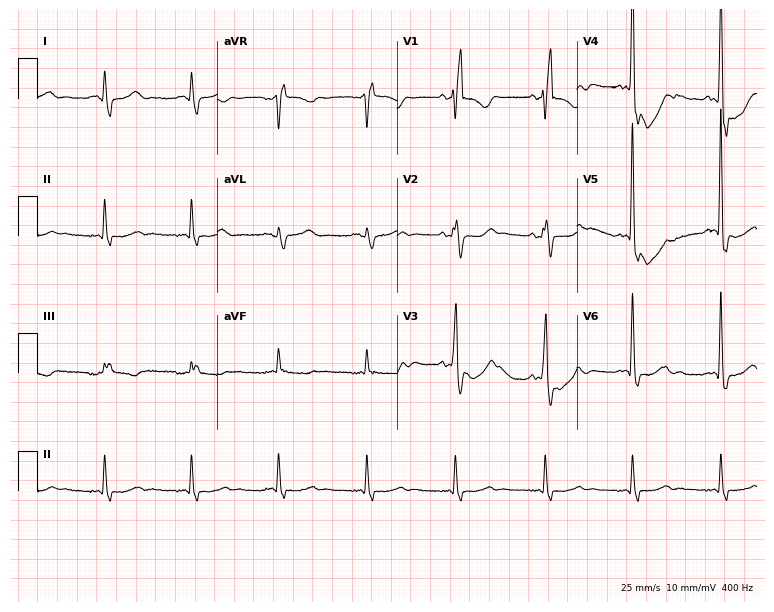
12-lead ECG (7.3-second recording at 400 Hz) from an 81-year-old male. Findings include right bundle branch block.